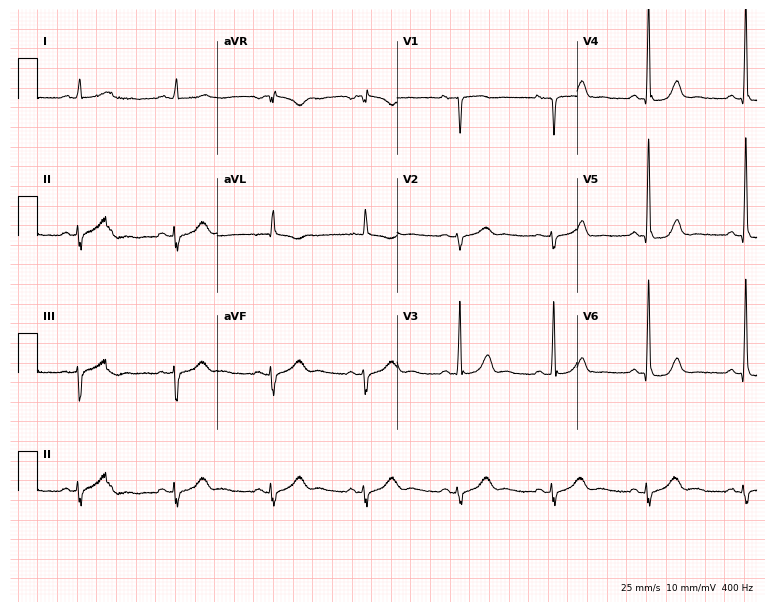
Resting 12-lead electrocardiogram. Patient: a female, 46 years old. None of these six findings is recorded: first-degree AV block, right bundle branch block, left bundle branch block, sinus bradycardia, atrial fibrillation, sinus tachycardia. Only these six findings were labelled.